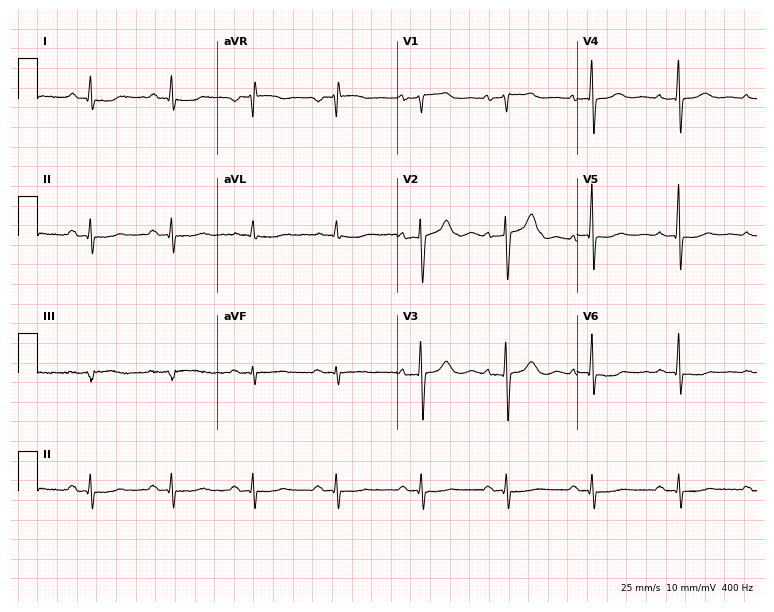
ECG (7.3-second recording at 400 Hz) — a 48-year-old male. Labelled as a normal ECG.